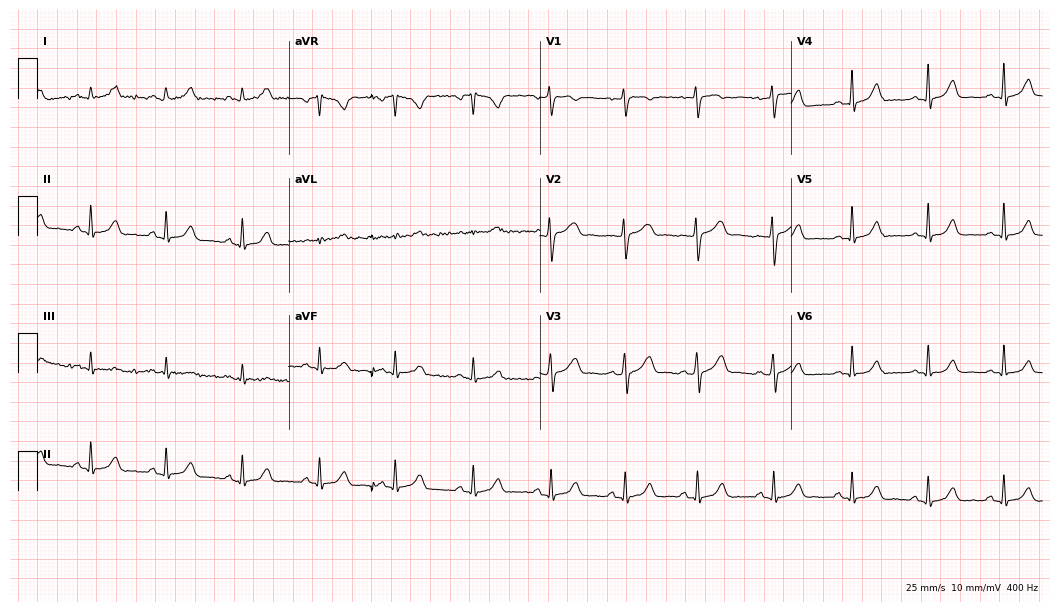
ECG — a 31-year-old female. Labelled as a normal ECG.